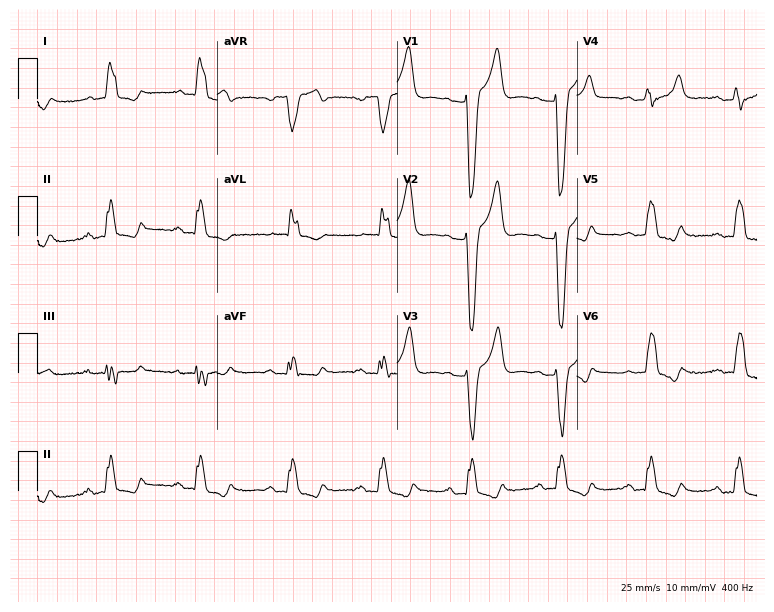
ECG (7.3-second recording at 400 Hz) — a 62-year-old male patient. Findings include first-degree AV block, left bundle branch block.